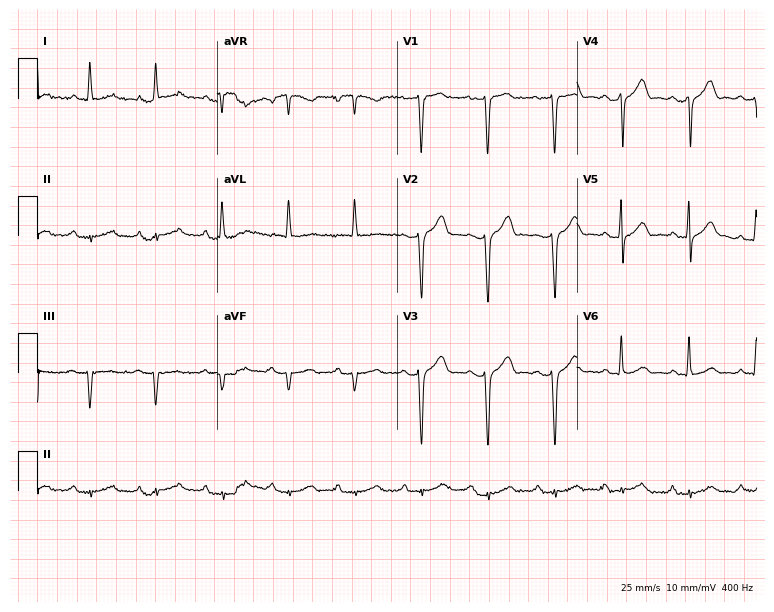
Standard 12-lead ECG recorded from a male patient, 70 years old. Read as a normal ECG.